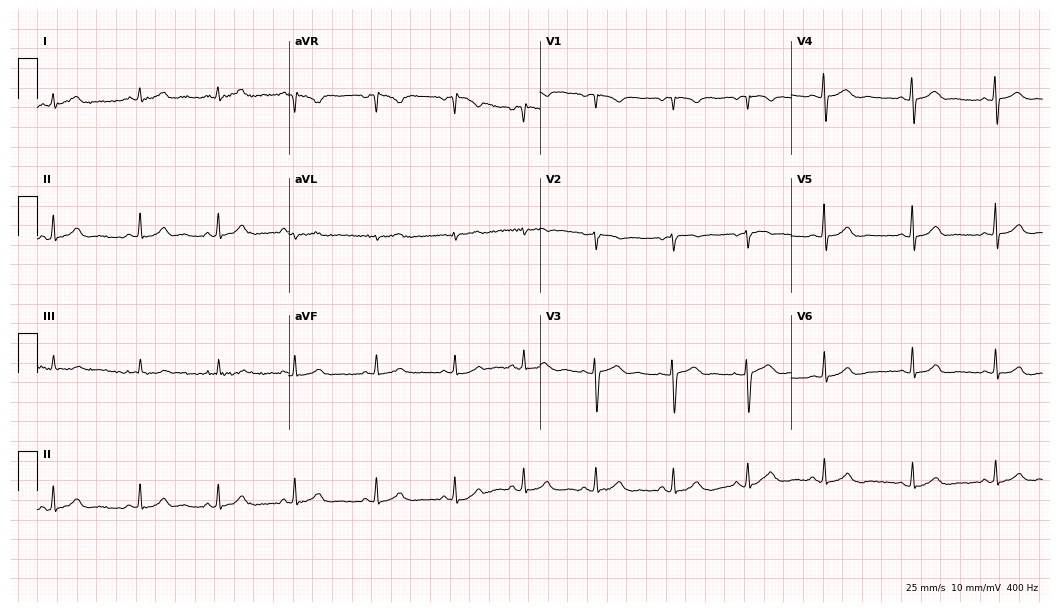
Electrocardiogram, a female patient, 20 years old. Overall reading on record: normal ECG.